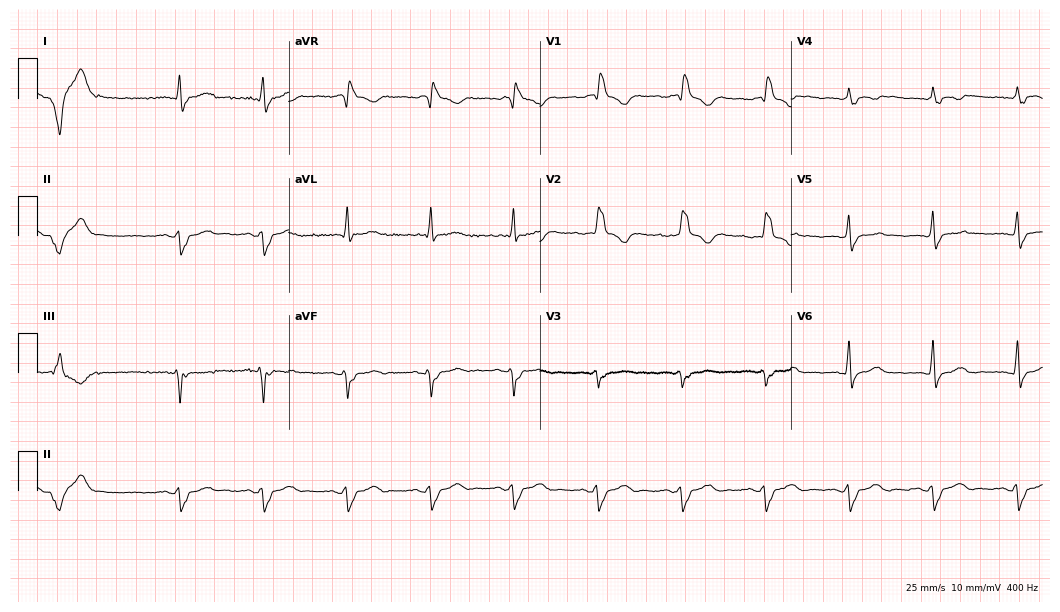
ECG — a woman, 40 years old. Findings include right bundle branch block (RBBB).